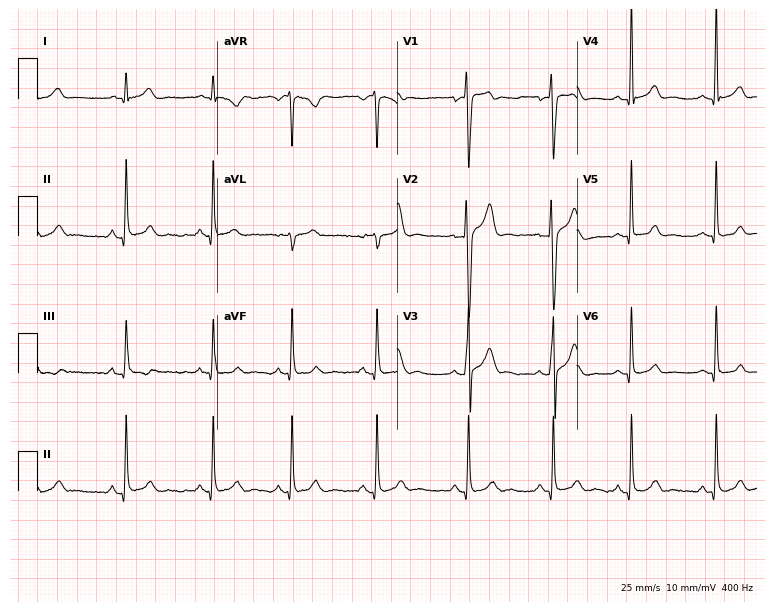
ECG (7.3-second recording at 400 Hz) — a male, 21 years old. Labelled as a normal ECG.